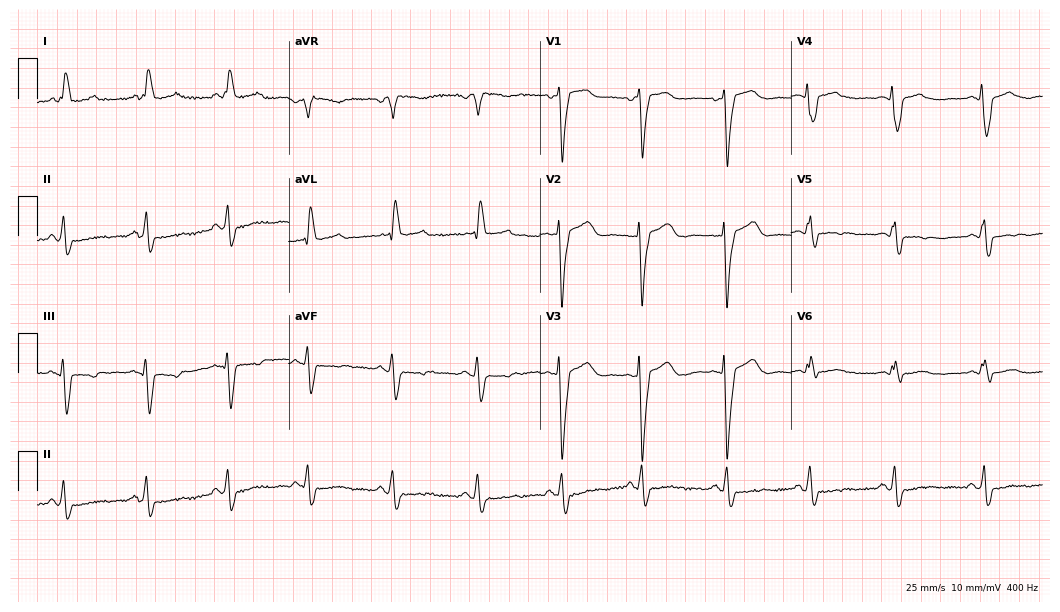
12-lead ECG from a woman, 73 years old. Shows left bundle branch block (LBBB).